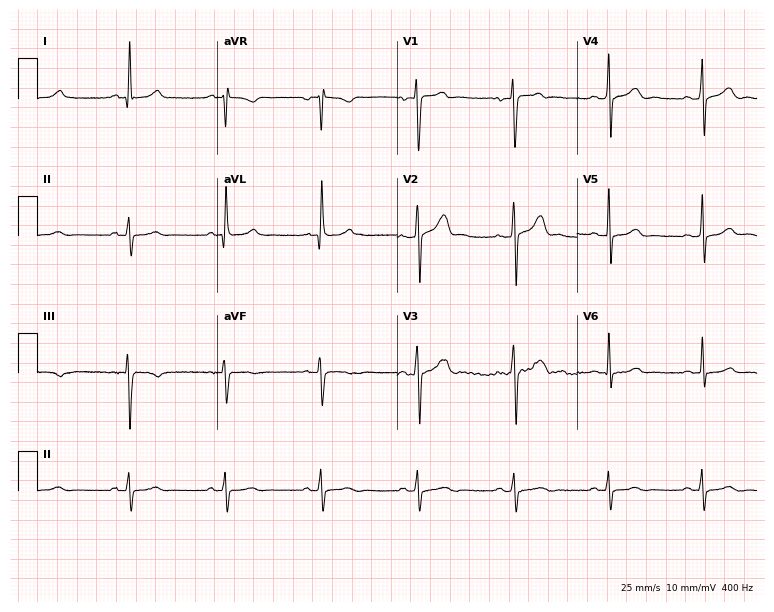
Standard 12-lead ECG recorded from a 52-year-old male patient. None of these six findings is recorded: first-degree AV block, right bundle branch block (RBBB), left bundle branch block (LBBB), sinus bradycardia, atrial fibrillation (AF), sinus tachycardia.